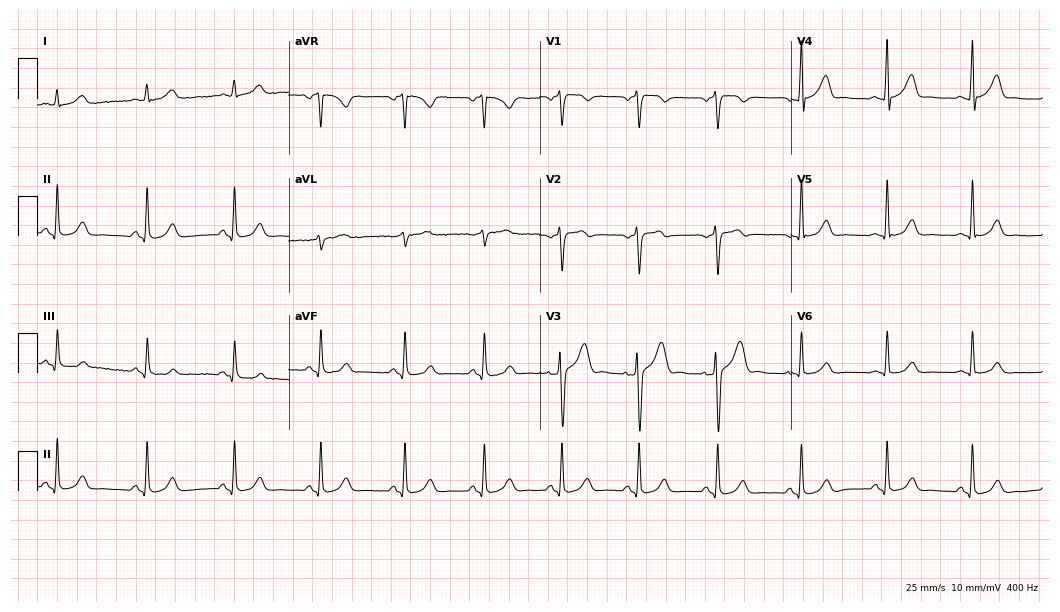
12-lead ECG from a man, 35 years old. Recorded interpretation: within normal limits.